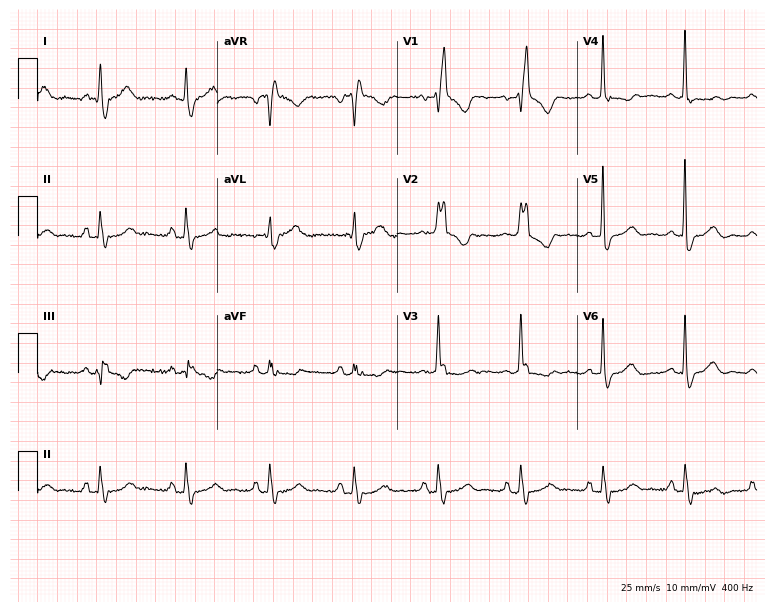
12-lead ECG (7.3-second recording at 400 Hz) from a female, 54 years old. Screened for six findings — first-degree AV block, right bundle branch block, left bundle branch block, sinus bradycardia, atrial fibrillation, sinus tachycardia — none is recorded.